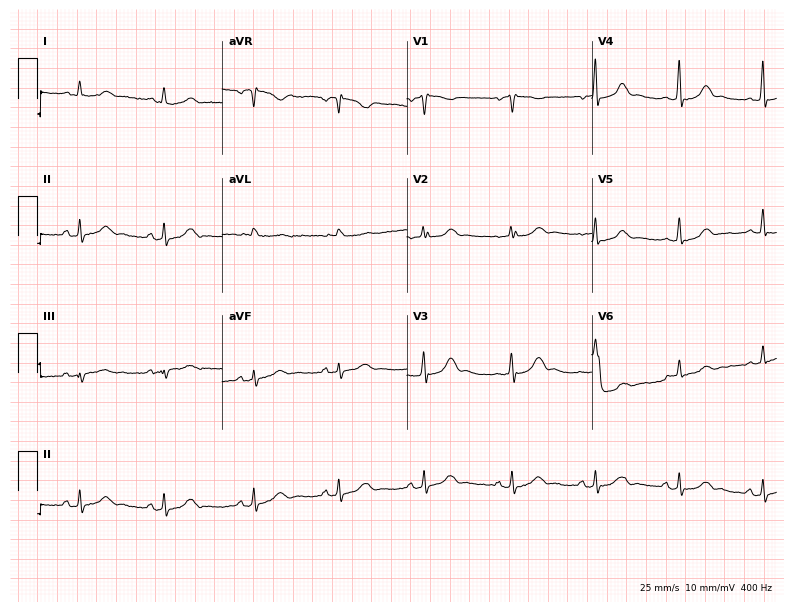
Resting 12-lead electrocardiogram (7.5-second recording at 400 Hz). Patient: a woman, 45 years old. None of these six findings is recorded: first-degree AV block, right bundle branch block, left bundle branch block, sinus bradycardia, atrial fibrillation, sinus tachycardia. Findings outside these six are not listed.